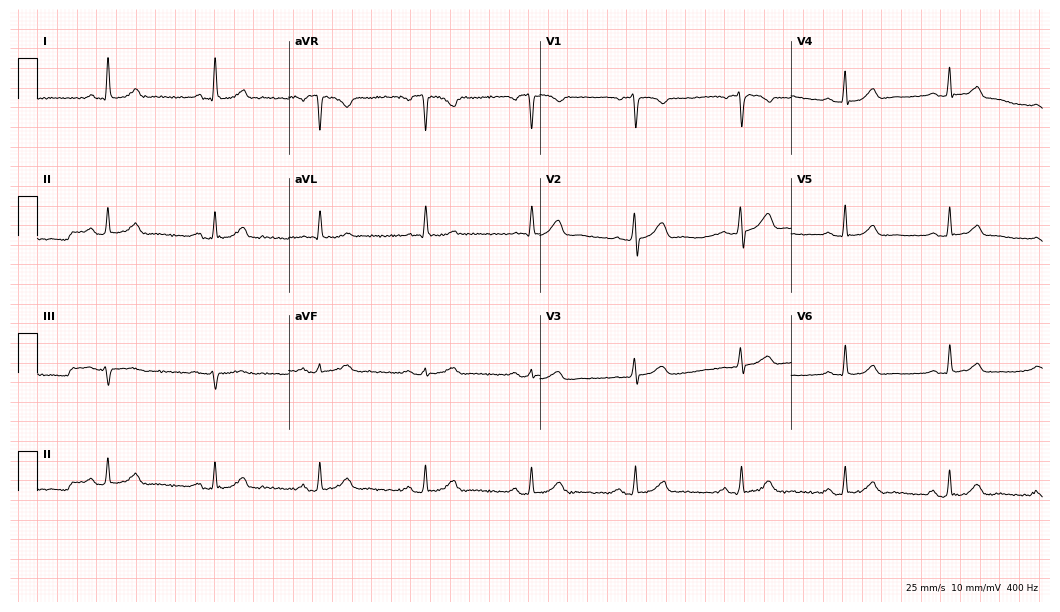
Standard 12-lead ECG recorded from a female patient, 61 years old. Read as a normal ECG.